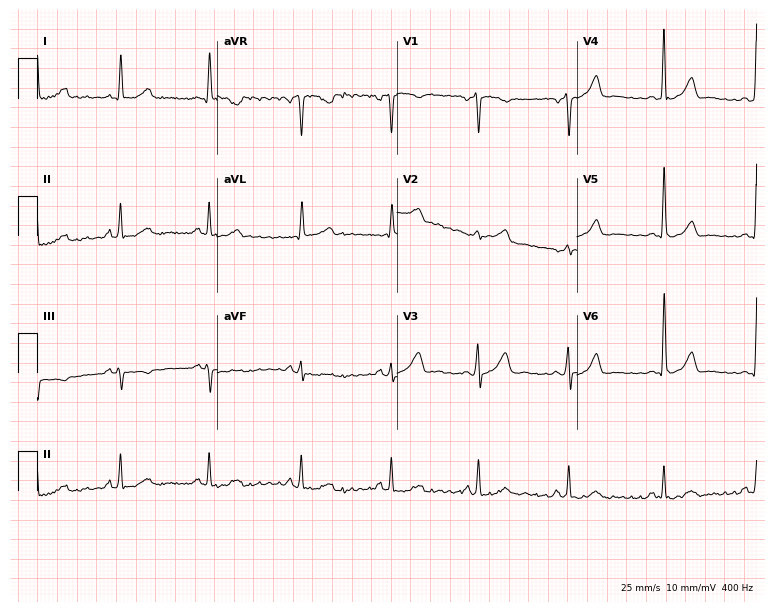
Resting 12-lead electrocardiogram (7.3-second recording at 400 Hz). Patient: a female, 39 years old. None of these six findings is recorded: first-degree AV block, right bundle branch block (RBBB), left bundle branch block (LBBB), sinus bradycardia, atrial fibrillation (AF), sinus tachycardia. Findings outside these six are not listed.